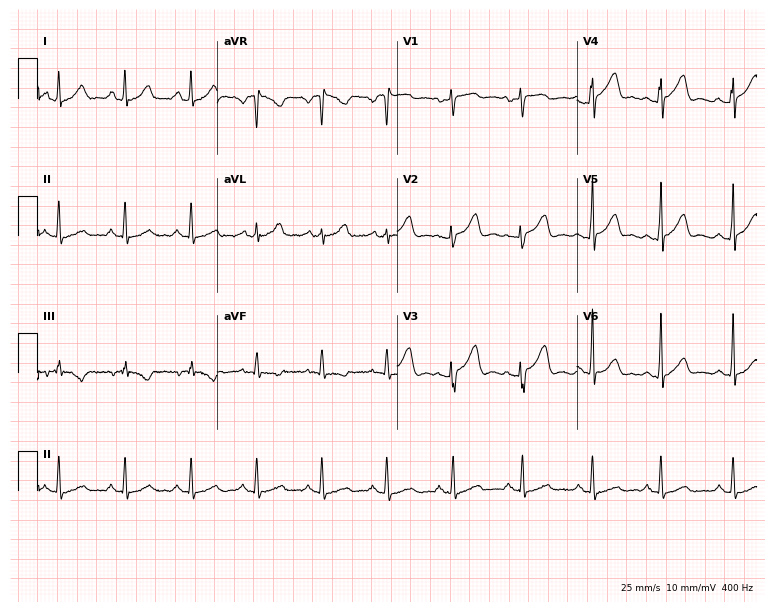
12-lead ECG from a woman, 25 years old (7.3-second recording at 400 Hz). Recorded interpretation: within normal limits.